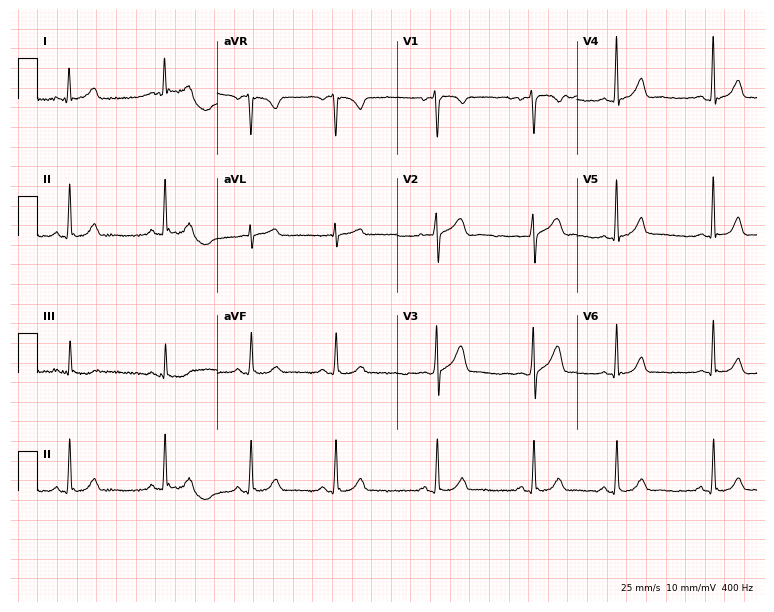
Resting 12-lead electrocardiogram (7.3-second recording at 400 Hz). Patient: a woman, 24 years old. Read as a normal ECG.